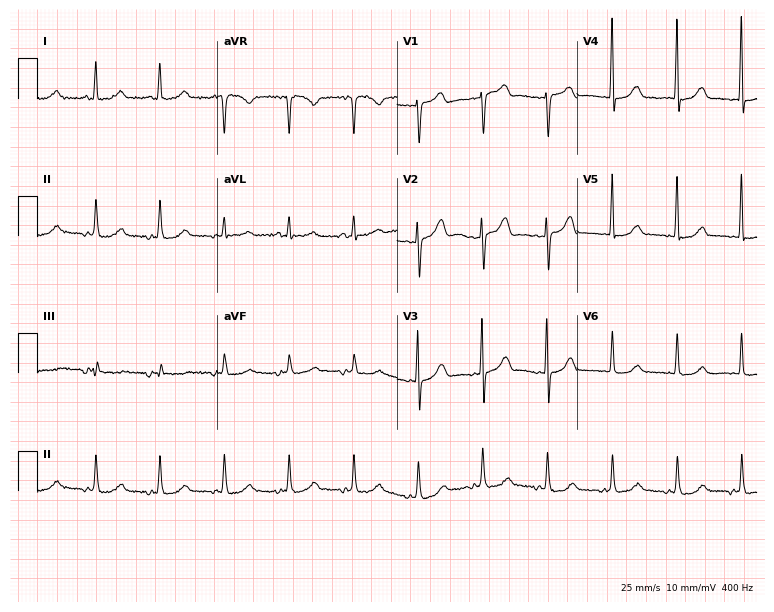
Electrocardiogram (7.3-second recording at 400 Hz), a woman, 73 years old. Overall reading on record: normal ECG.